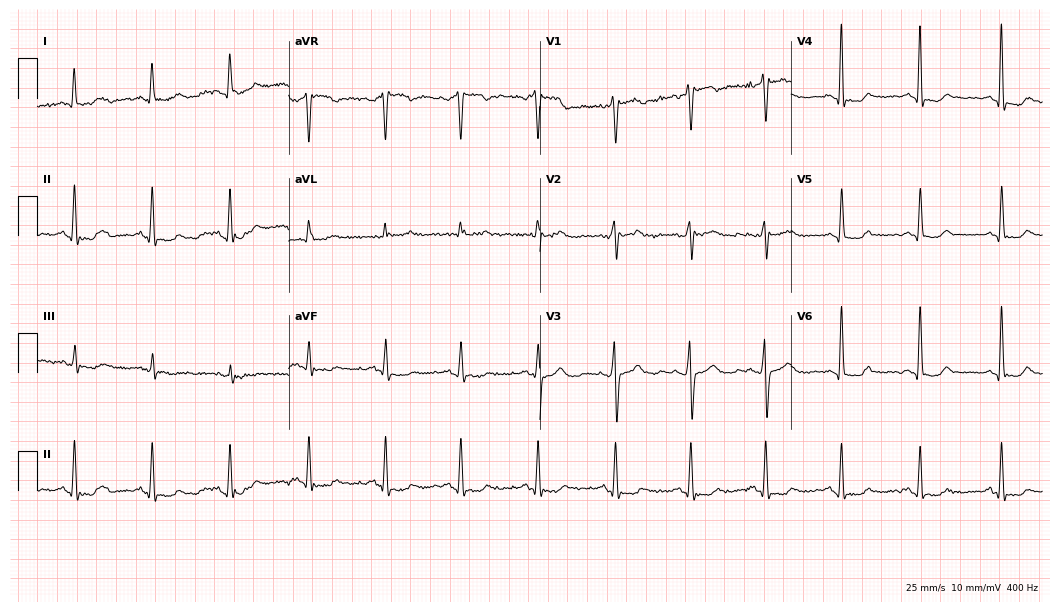
Standard 12-lead ECG recorded from a 49-year-old female patient (10.2-second recording at 400 Hz). Read as a normal ECG.